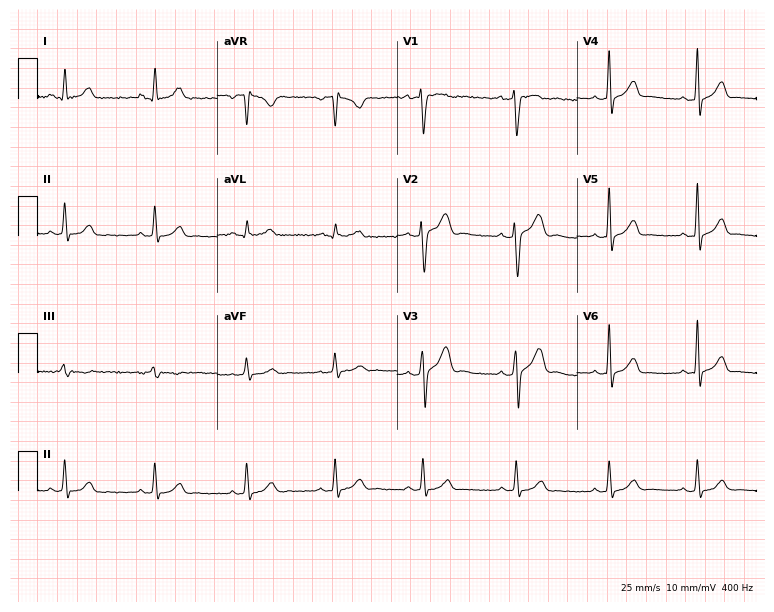
Standard 12-lead ECG recorded from a male patient, 29 years old. None of these six findings is recorded: first-degree AV block, right bundle branch block, left bundle branch block, sinus bradycardia, atrial fibrillation, sinus tachycardia.